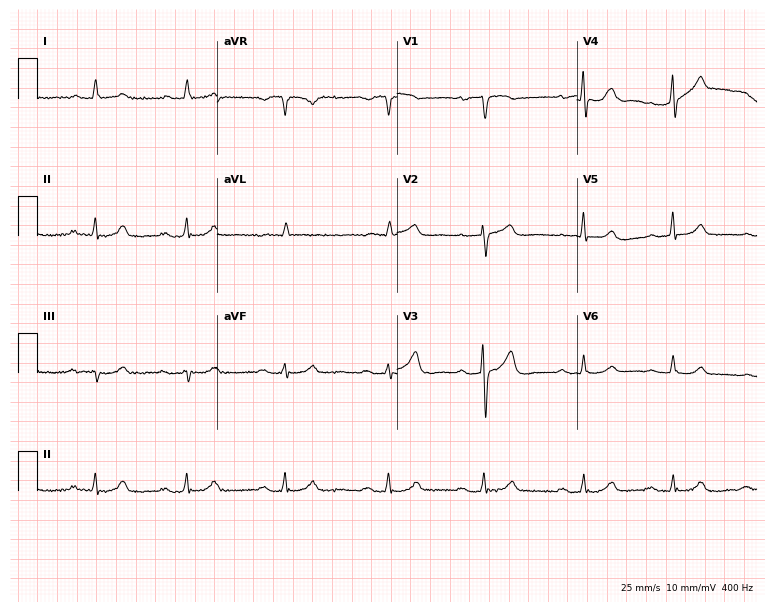
12-lead ECG from a 70-year-old woman (7.3-second recording at 400 Hz). Shows first-degree AV block.